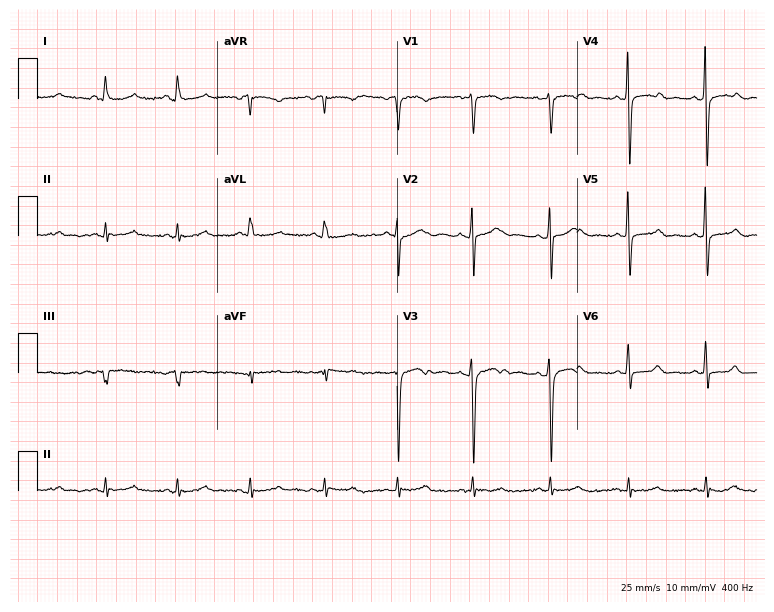
12-lead ECG from a 44-year-old woman. Screened for six findings — first-degree AV block, right bundle branch block, left bundle branch block, sinus bradycardia, atrial fibrillation, sinus tachycardia — none is recorded.